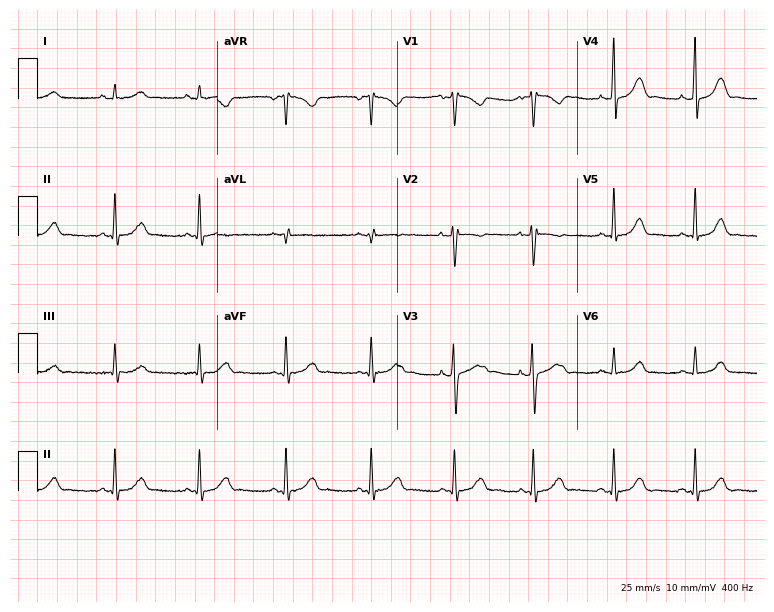
Resting 12-lead electrocardiogram (7.3-second recording at 400 Hz). Patient: a woman, 38 years old. Read as a normal ECG.